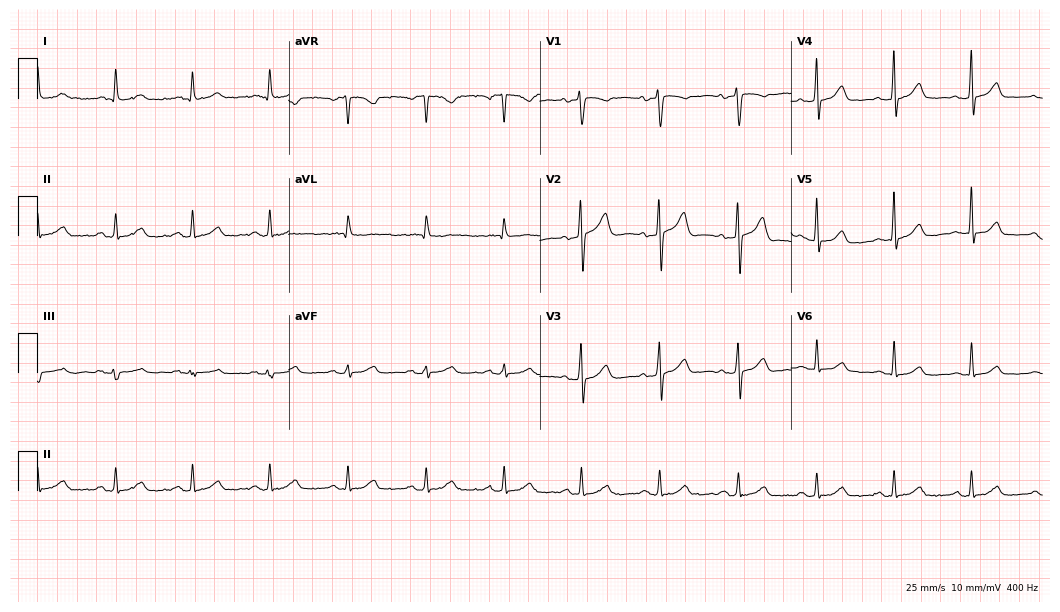
Standard 12-lead ECG recorded from a 58-year-old woman (10.2-second recording at 400 Hz). Read as a normal ECG.